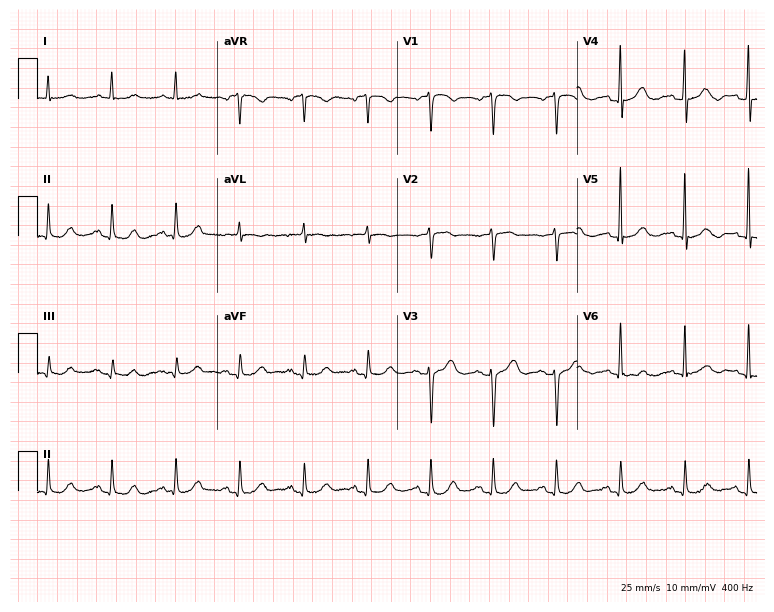
12-lead ECG from a 73-year-old female (7.3-second recording at 400 Hz). Recorded interpretation: within normal limits.